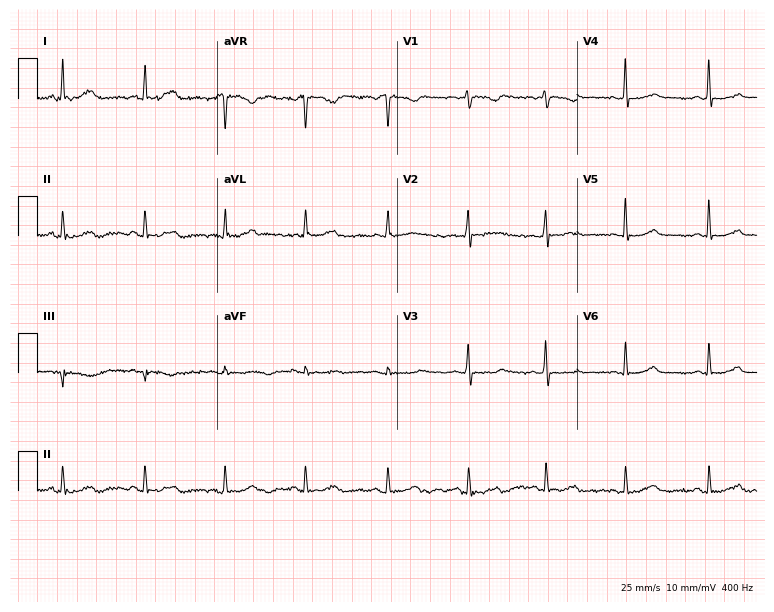
Resting 12-lead electrocardiogram. Patient: a 41-year-old woman. Read as a normal ECG.